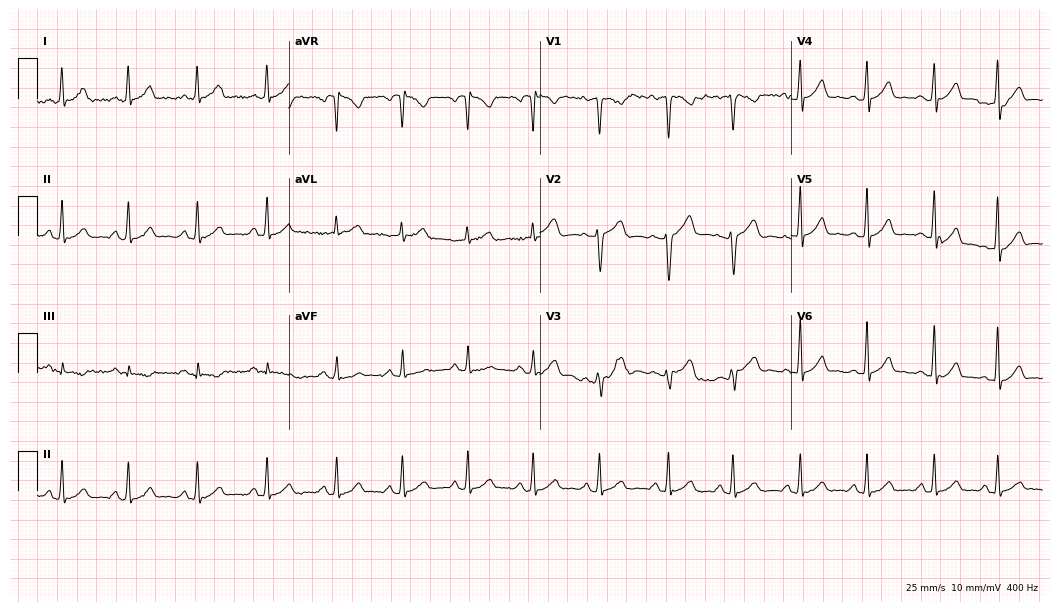
12-lead ECG (10.2-second recording at 400 Hz) from a 26-year-old female patient. Labelled as a normal ECG.